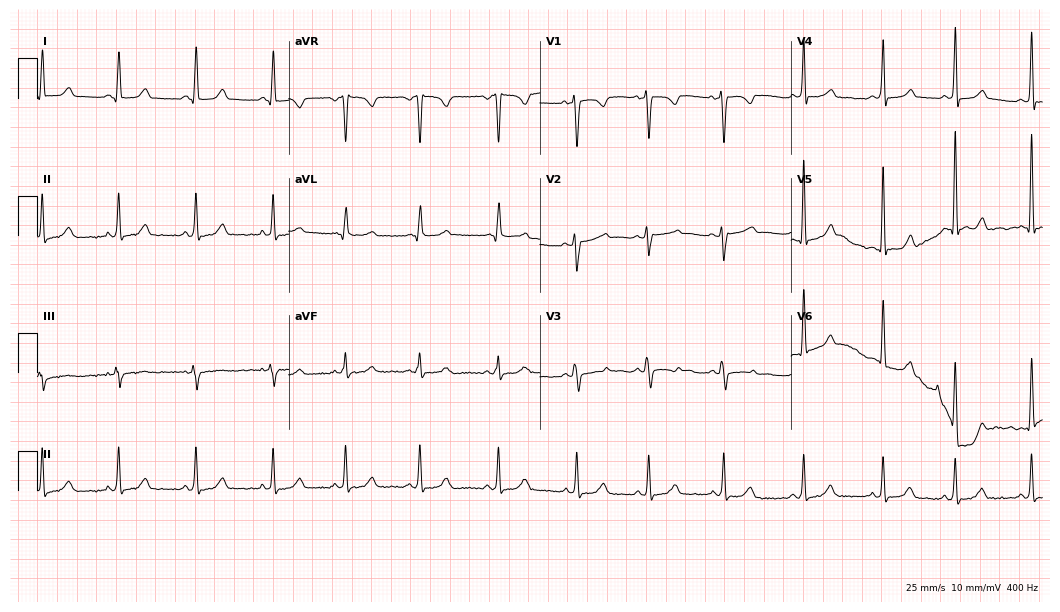
Resting 12-lead electrocardiogram. Patient: a 25-year-old female. Read as a normal ECG.